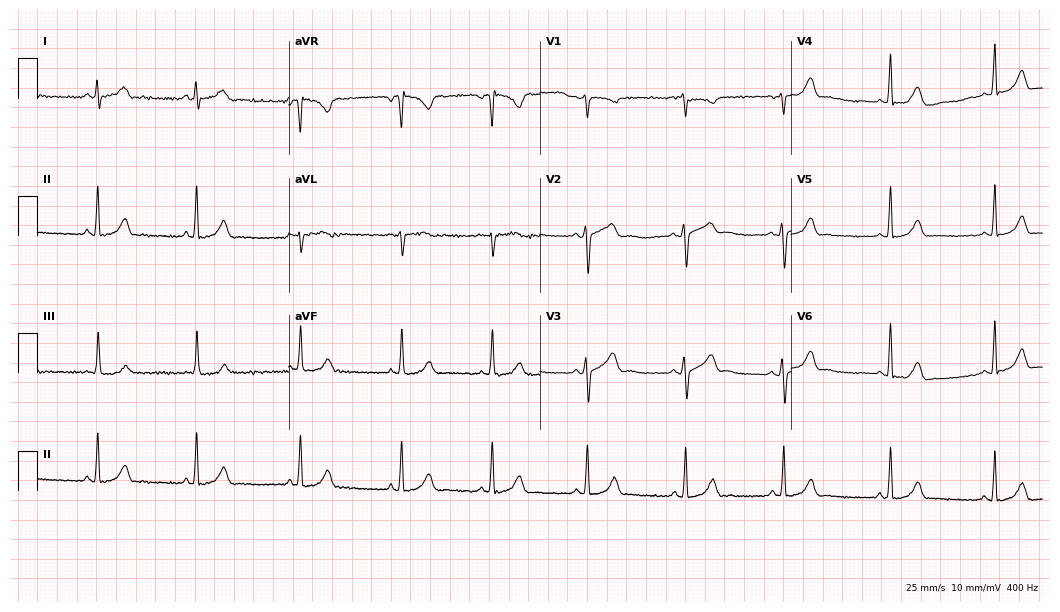
12-lead ECG from a 28-year-old female patient. Labelled as a normal ECG.